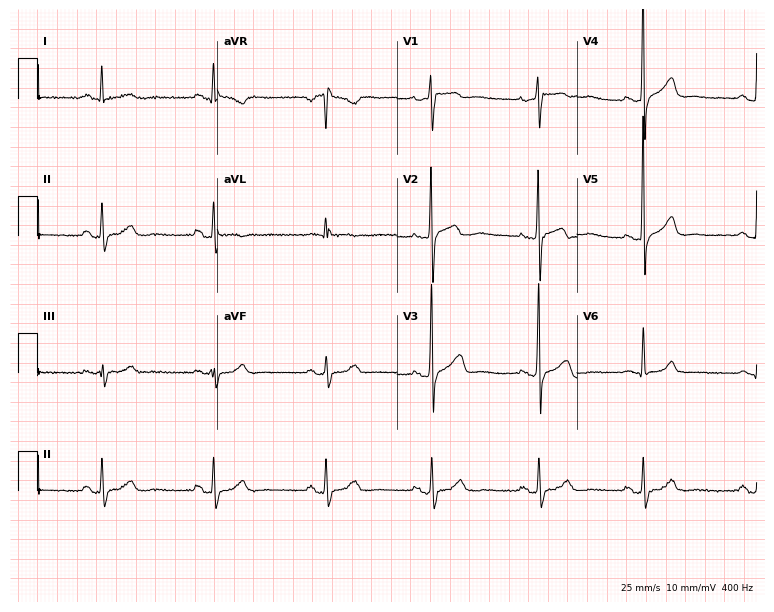
12-lead ECG from a 47-year-old male patient. Recorded interpretation: within normal limits.